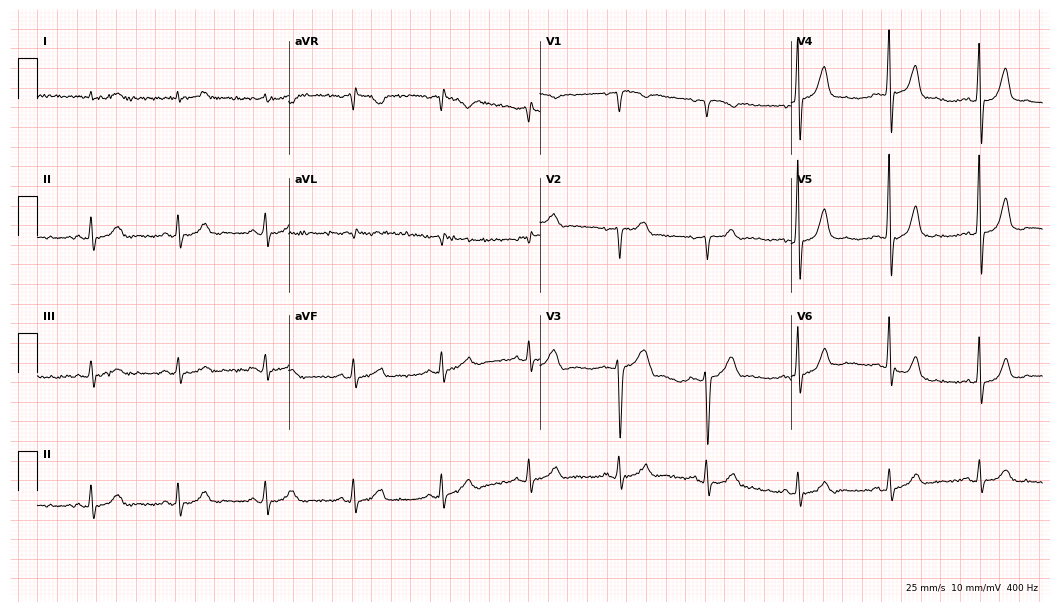
Resting 12-lead electrocardiogram. Patient: an 85-year-old male. Read as a normal ECG.